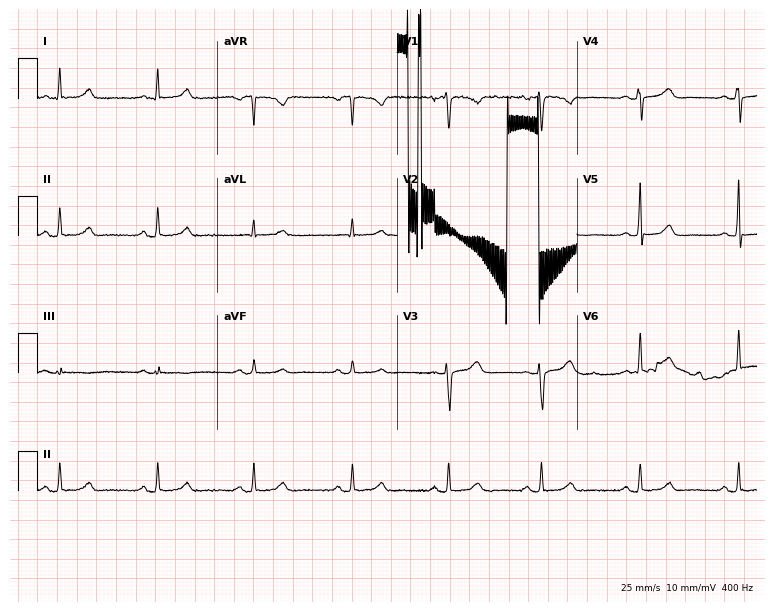
12-lead ECG (7.3-second recording at 400 Hz) from a woman, 50 years old. Screened for six findings — first-degree AV block, right bundle branch block, left bundle branch block, sinus bradycardia, atrial fibrillation, sinus tachycardia — none is recorded. Only these six findings were labelled.